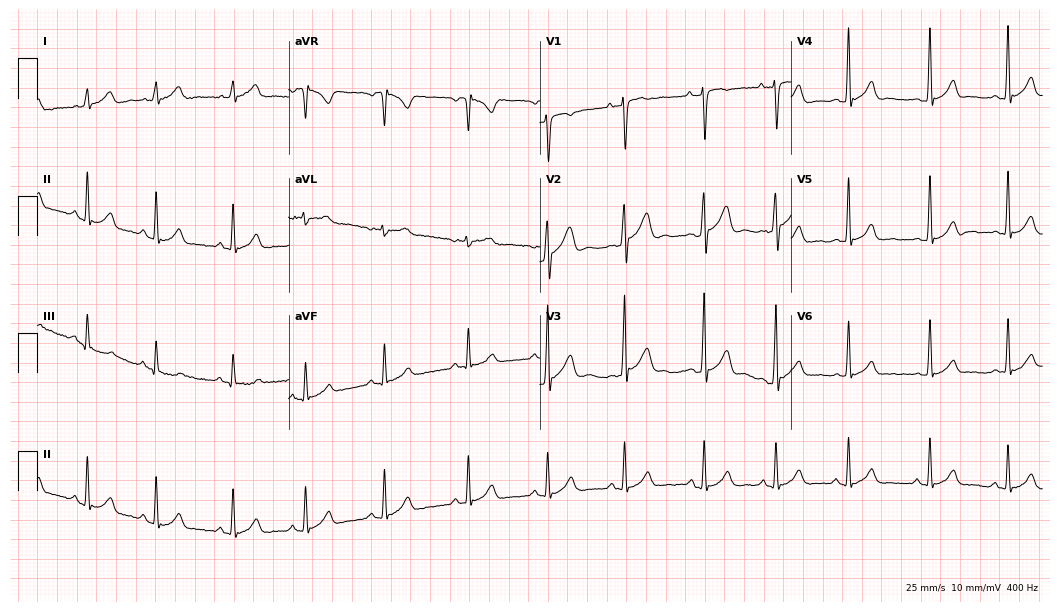
ECG (10.2-second recording at 400 Hz) — a man, 20 years old. Labelled as a normal ECG.